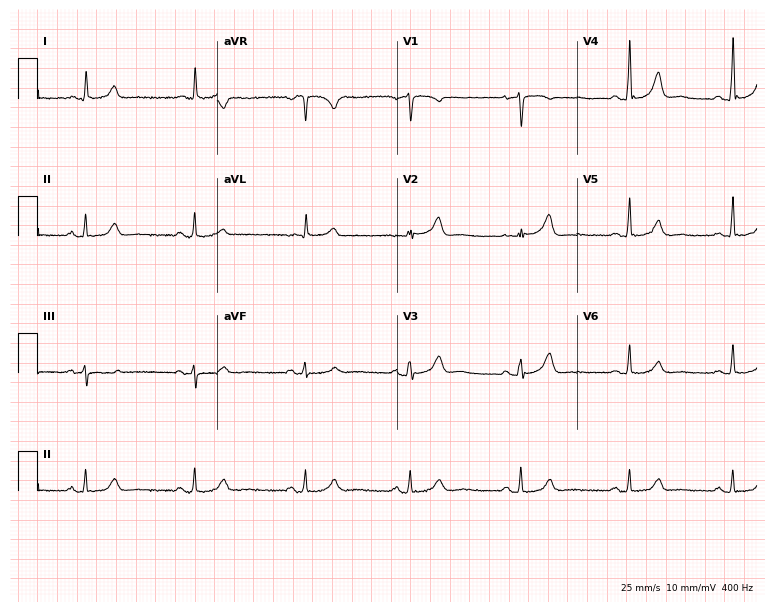
Electrocardiogram (7.3-second recording at 400 Hz), a 63-year-old female. Overall reading on record: normal ECG.